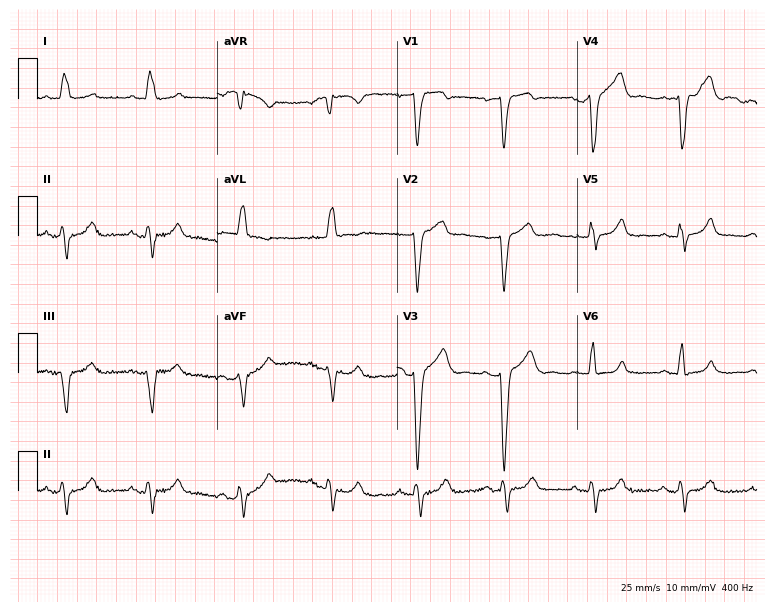
12-lead ECG from a woman, 46 years old. Shows left bundle branch block (LBBB).